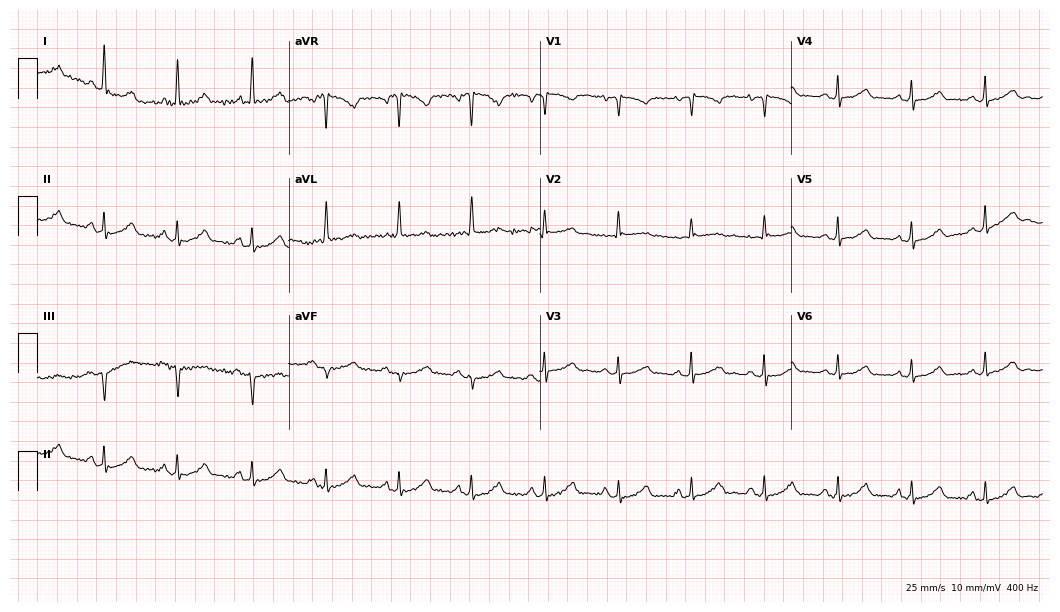
12-lead ECG (10.2-second recording at 400 Hz) from a female patient, 60 years old. Labelled as a normal ECG.